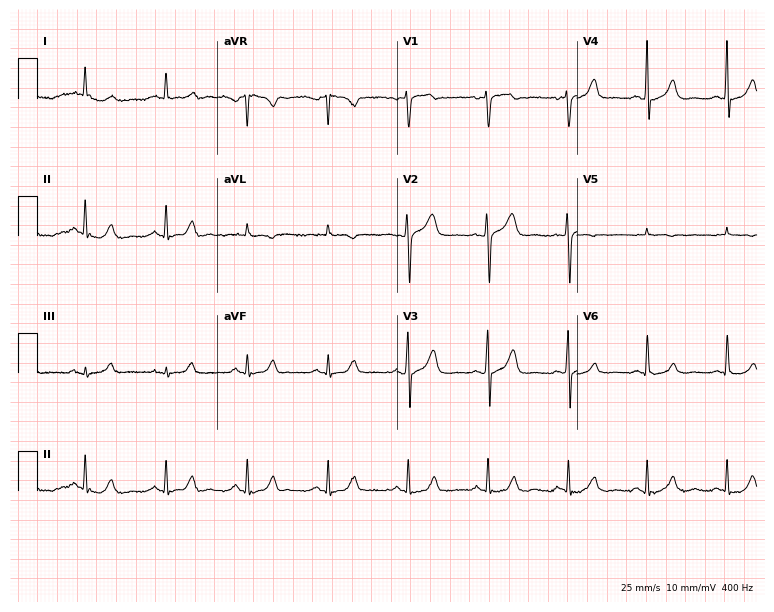
Resting 12-lead electrocardiogram (7.3-second recording at 400 Hz). Patient: a 60-year-old man. Read as a normal ECG.